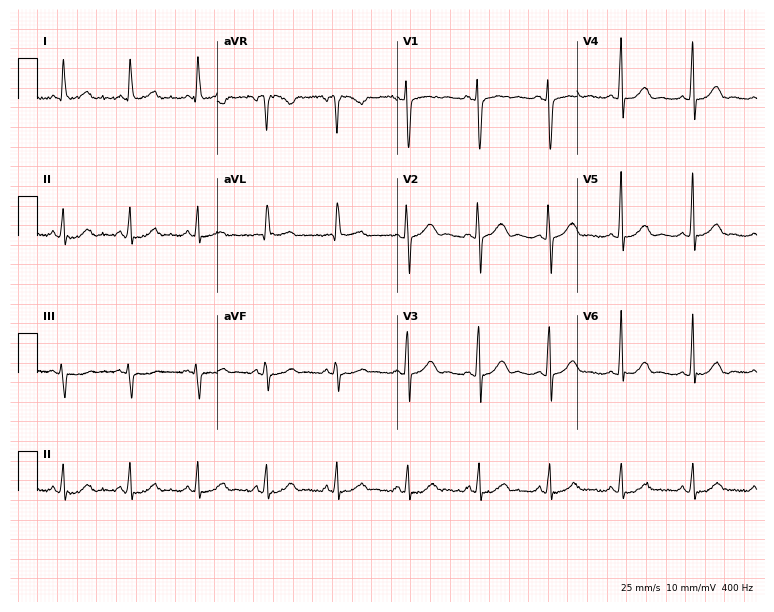
Electrocardiogram, a female patient, 55 years old. Overall reading on record: normal ECG.